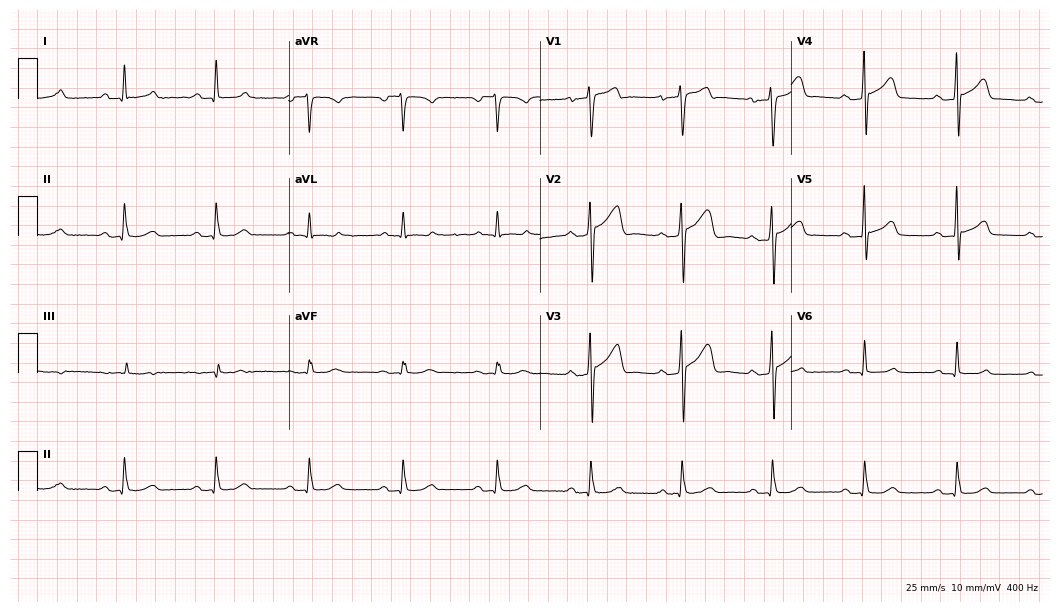
12-lead ECG from a male patient, 48 years old. Labelled as a normal ECG.